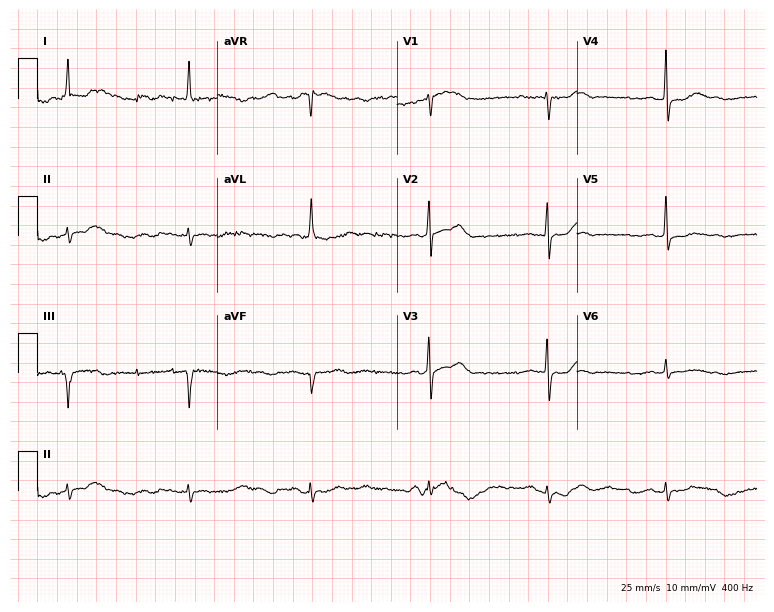
12-lead ECG (7.3-second recording at 400 Hz) from a 76-year-old male. Findings include sinus bradycardia (a sinus rate of 50 beats per minute or less).